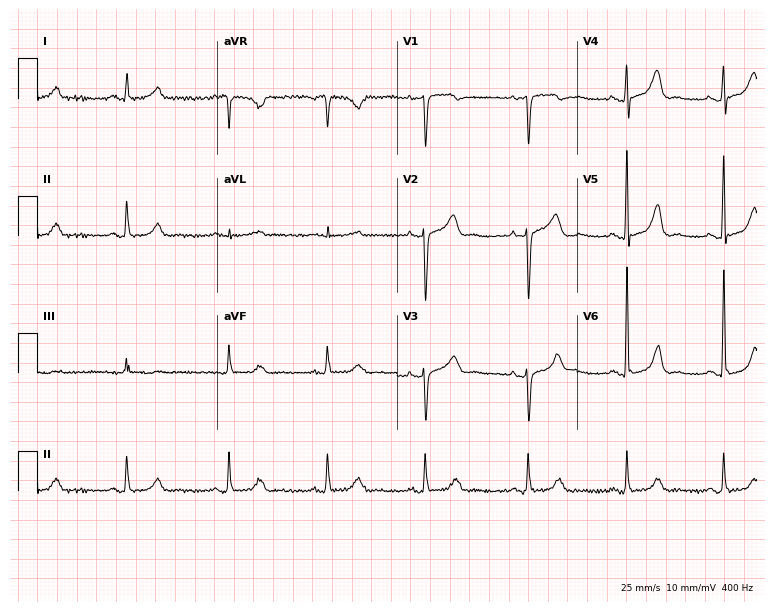
12-lead ECG (7.3-second recording at 400 Hz) from a female, 71 years old. Labelled as a normal ECG.